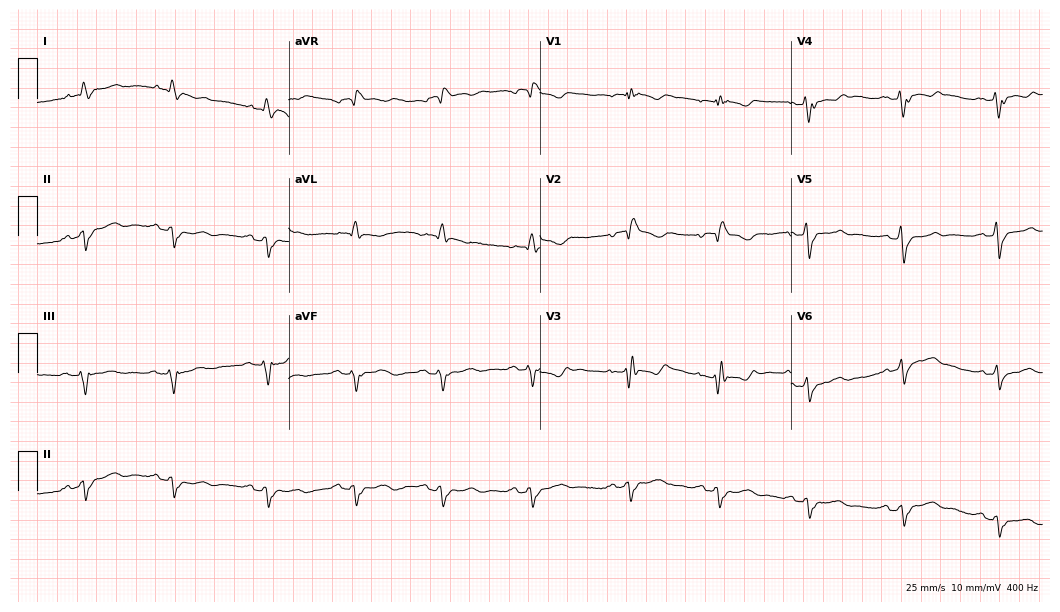
12-lead ECG from a female patient, 58 years old. No first-degree AV block, right bundle branch block, left bundle branch block, sinus bradycardia, atrial fibrillation or sinus tachycardia recorded for this tracing.